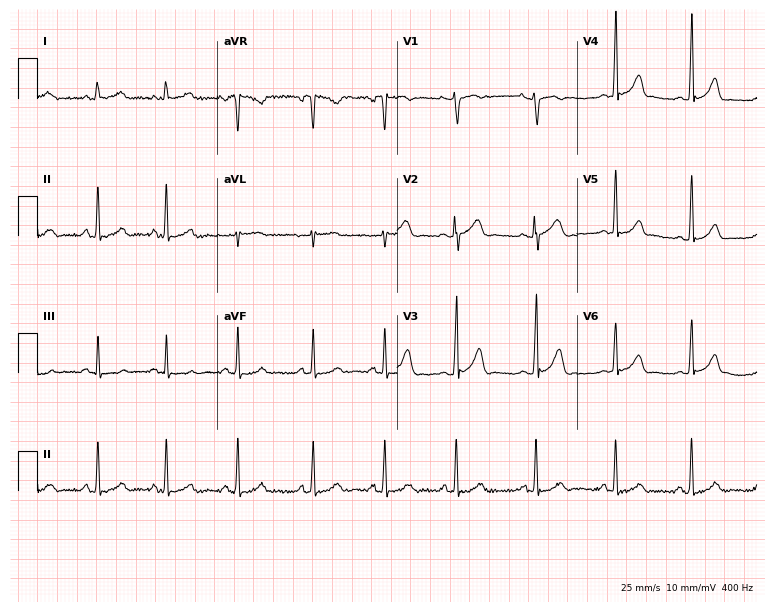
ECG — a woman, 25 years old. Screened for six findings — first-degree AV block, right bundle branch block, left bundle branch block, sinus bradycardia, atrial fibrillation, sinus tachycardia — none is recorded. Other findings, if any, are not listed.